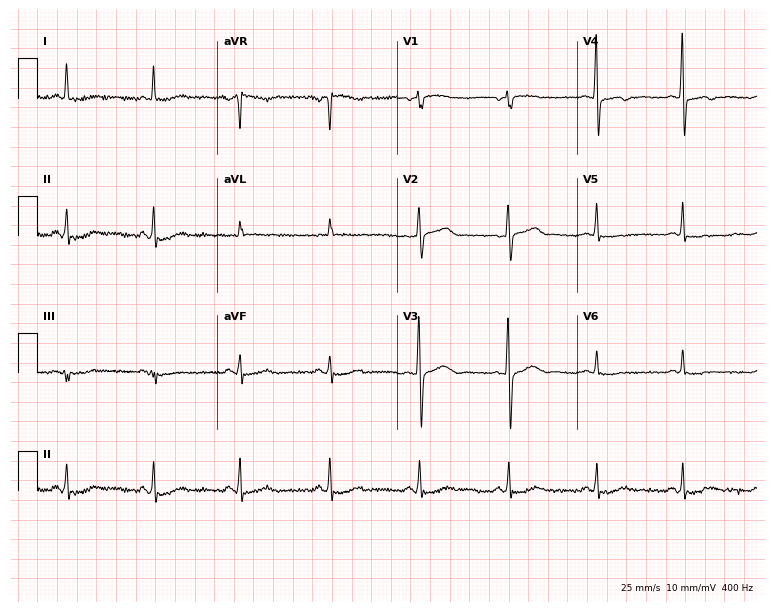
Resting 12-lead electrocardiogram (7.3-second recording at 400 Hz). Patient: a female, 72 years old. None of these six findings is recorded: first-degree AV block, right bundle branch block, left bundle branch block, sinus bradycardia, atrial fibrillation, sinus tachycardia.